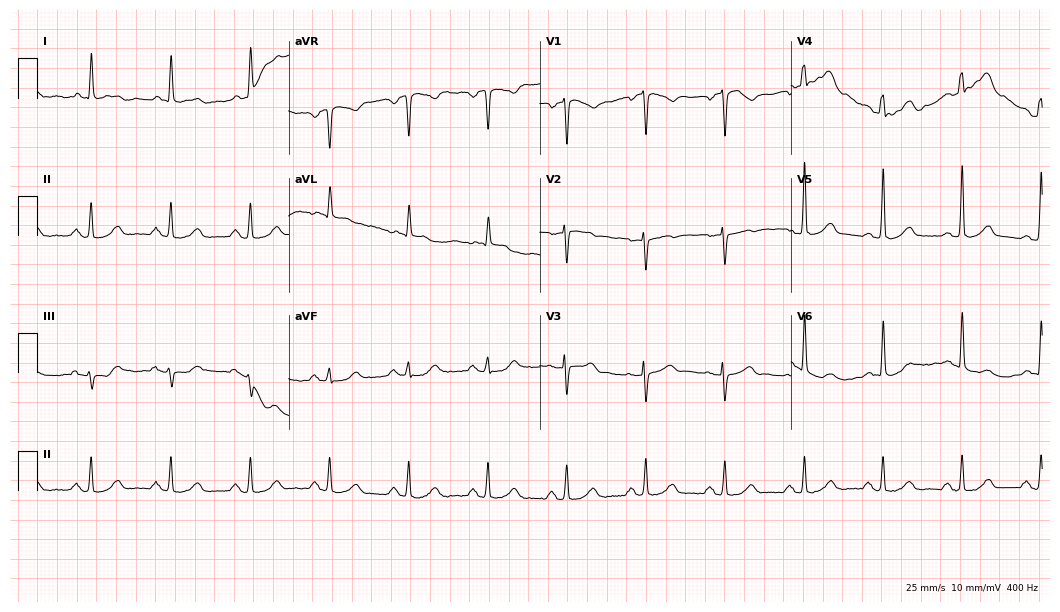
ECG — a 70-year-old woman. Labelled as a normal ECG.